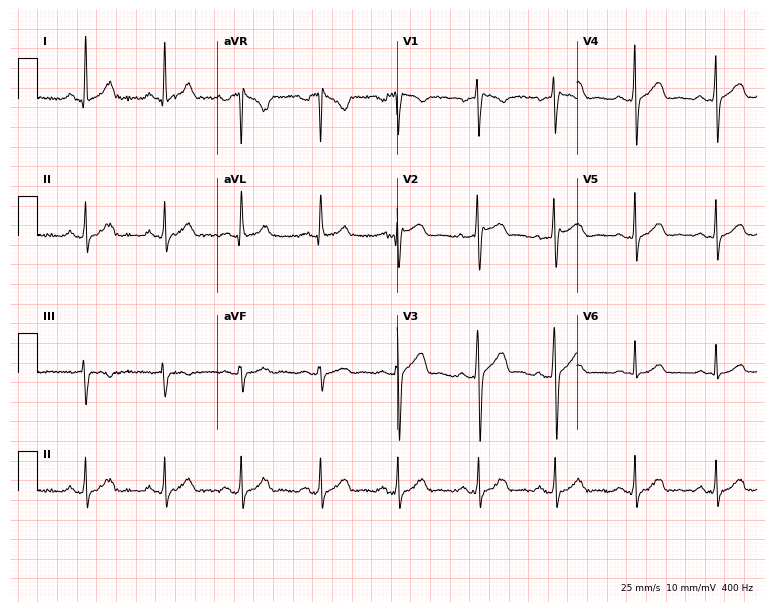
ECG (7.3-second recording at 400 Hz) — a 32-year-old woman. Labelled as a normal ECG.